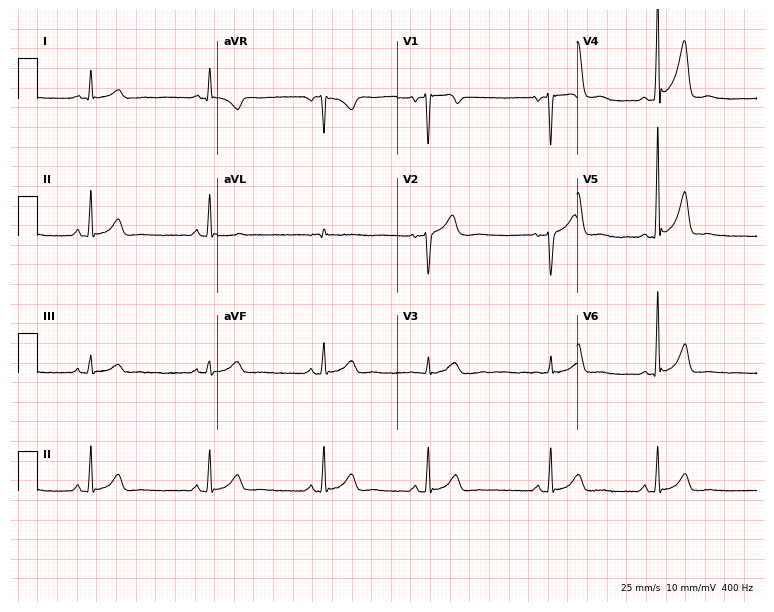
12-lead ECG from a male patient, 49 years old. Labelled as a normal ECG.